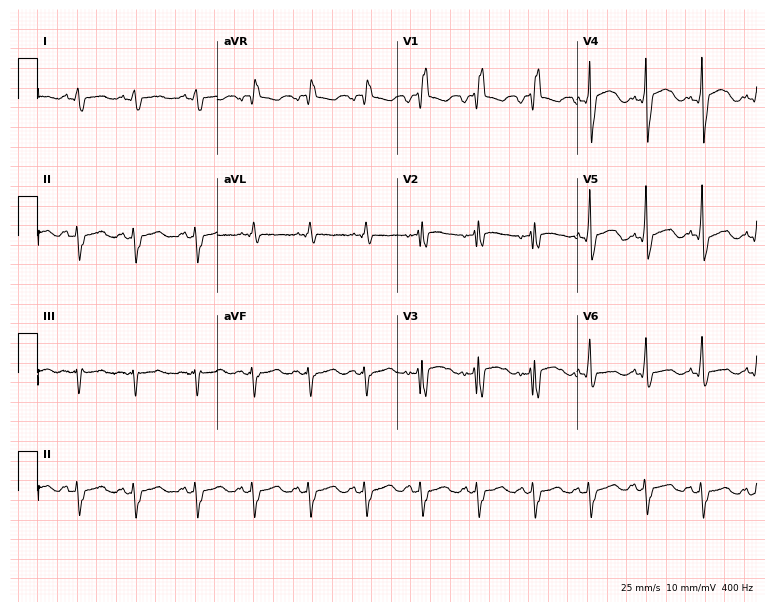
ECG — a 58-year-old male. Screened for six findings — first-degree AV block, right bundle branch block, left bundle branch block, sinus bradycardia, atrial fibrillation, sinus tachycardia — none is recorded. Other findings, if any, are not listed.